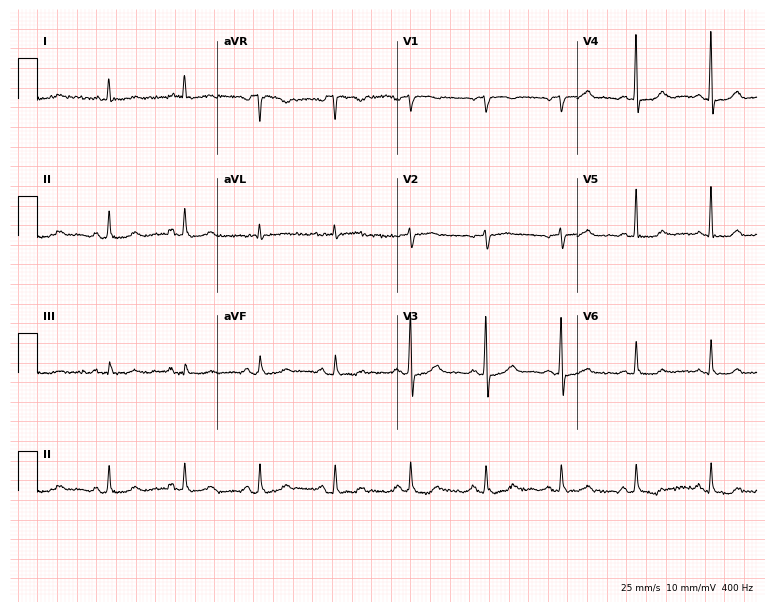
Standard 12-lead ECG recorded from a 58-year-old female. Read as a normal ECG.